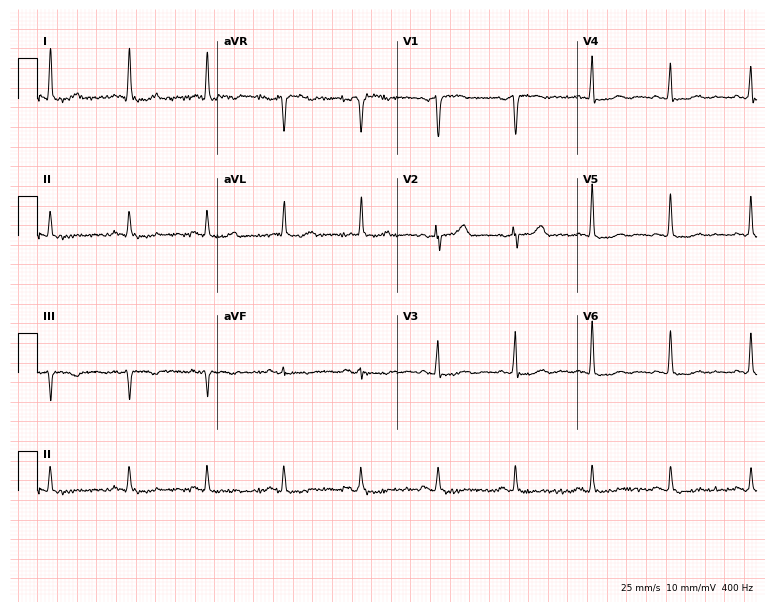
12-lead ECG (7.3-second recording at 400 Hz) from a woman, 83 years old. Screened for six findings — first-degree AV block, right bundle branch block, left bundle branch block, sinus bradycardia, atrial fibrillation, sinus tachycardia — none is recorded.